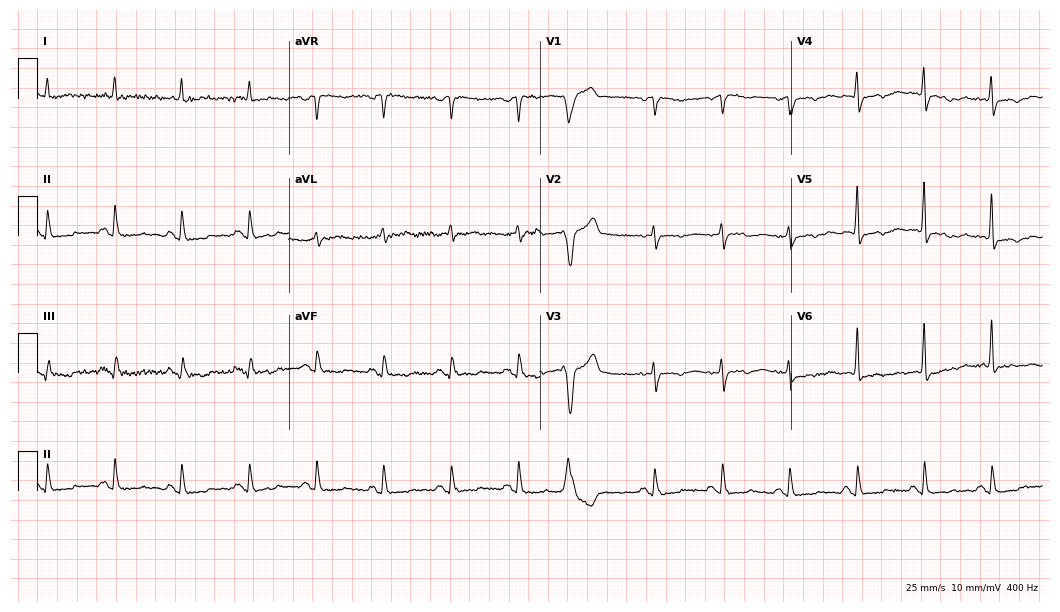
Standard 12-lead ECG recorded from a woman, 82 years old (10.2-second recording at 400 Hz). None of these six findings is recorded: first-degree AV block, right bundle branch block (RBBB), left bundle branch block (LBBB), sinus bradycardia, atrial fibrillation (AF), sinus tachycardia.